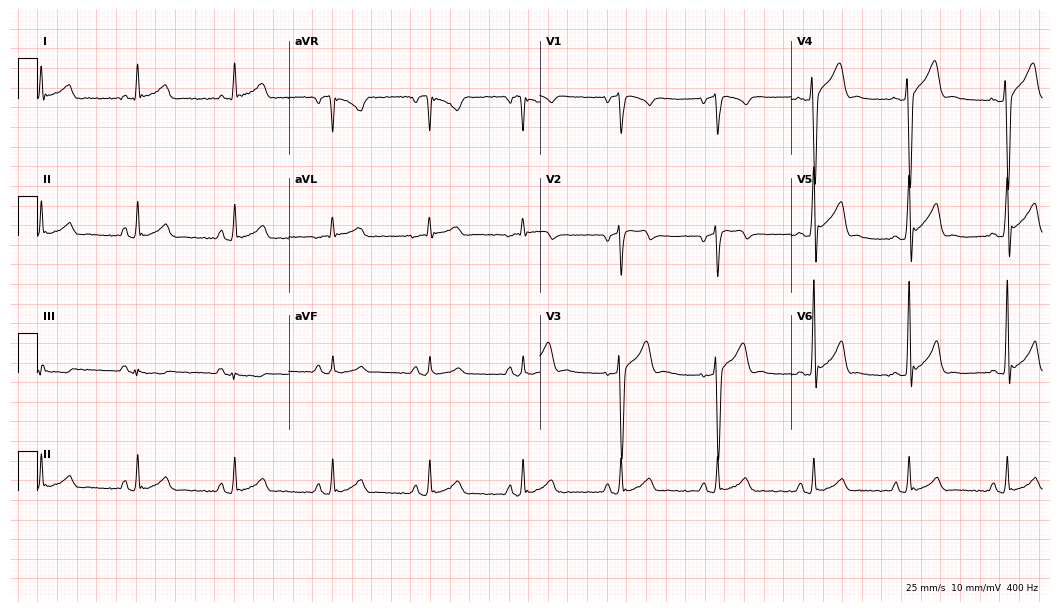
Resting 12-lead electrocardiogram (10.2-second recording at 400 Hz). Patient: a 22-year-old male. Read as a normal ECG.